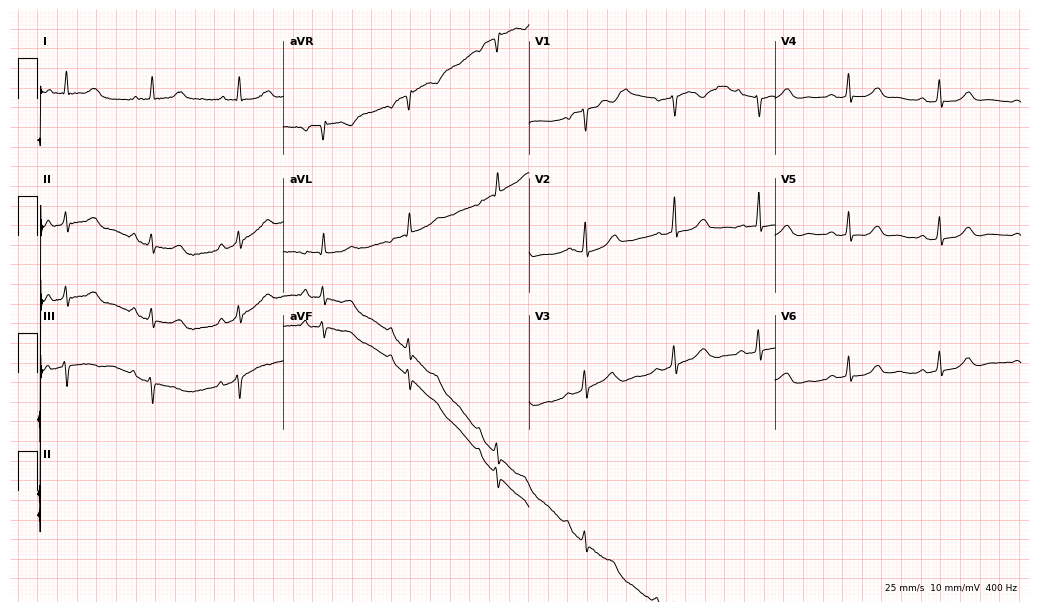
12-lead ECG (10-second recording at 400 Hz) from a female, 65 years old. Labelled as a normal ECG.